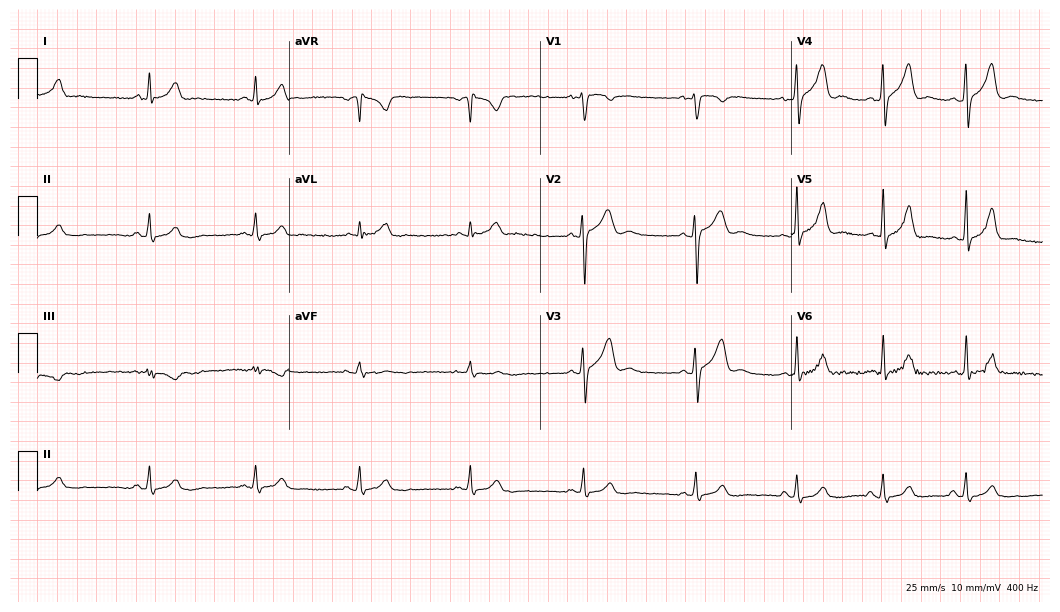
12-lead ECG from a man, 27 years old (10.2-second recording at 400 Hz). No first-degree AV block, right bundle branch block, left bundle branch block, sinus bradycardia, atrial fibrillation or sinus tachycardia recorded for this tracing. Only these six findings were labelled.